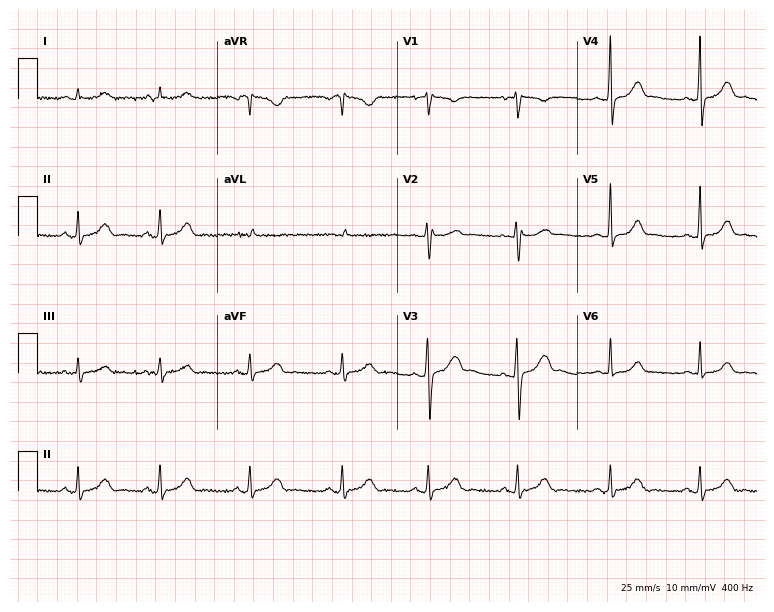
Standard 12-lead ECG recorded from a female patient, 28 years old (7.3-second recording at 400 Hz). Read as a normal ECG.